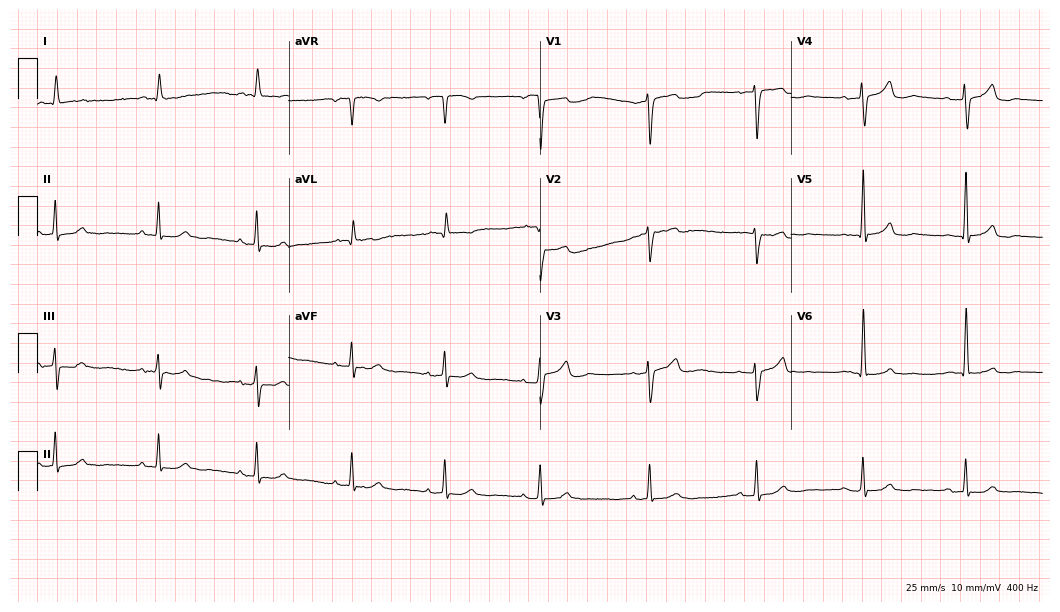
Resting 12-lead electrocardiogram (10.2-second recording at 400 Hz). Patient: a 79-year-old woman. None of these six findings is recorded: first-degree AV block, right bundle branch block, left bundle branch block, sinus bradycardia, atrial fibrillation, sinus tachycardia. Other findings, if any, are not listed.